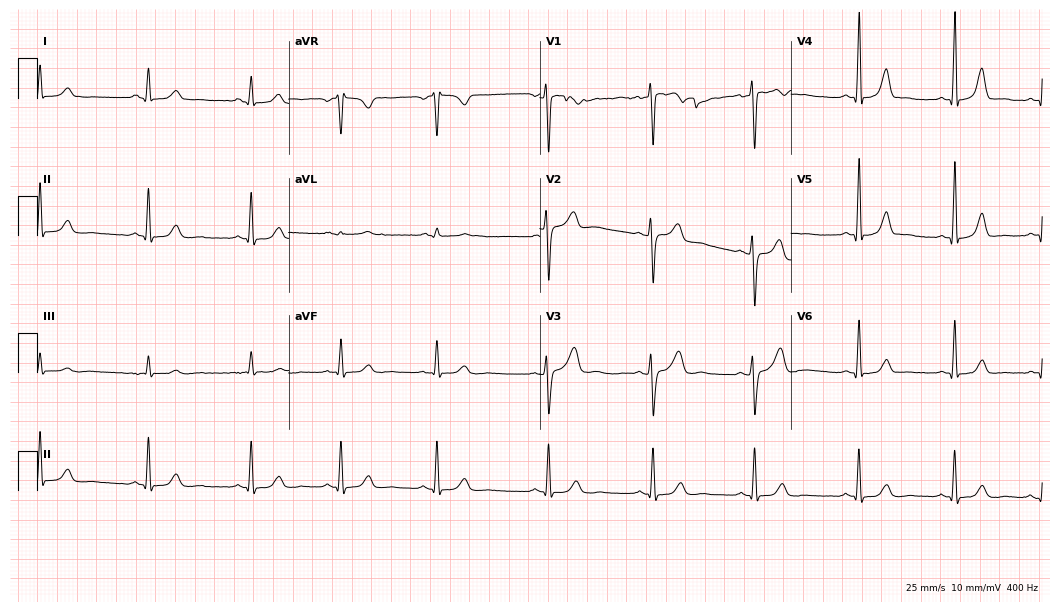
12-lead ECG from a female patient, 26 years old (10.2-second recording at 400 Hz). Recorded interpretation: within normal limits.